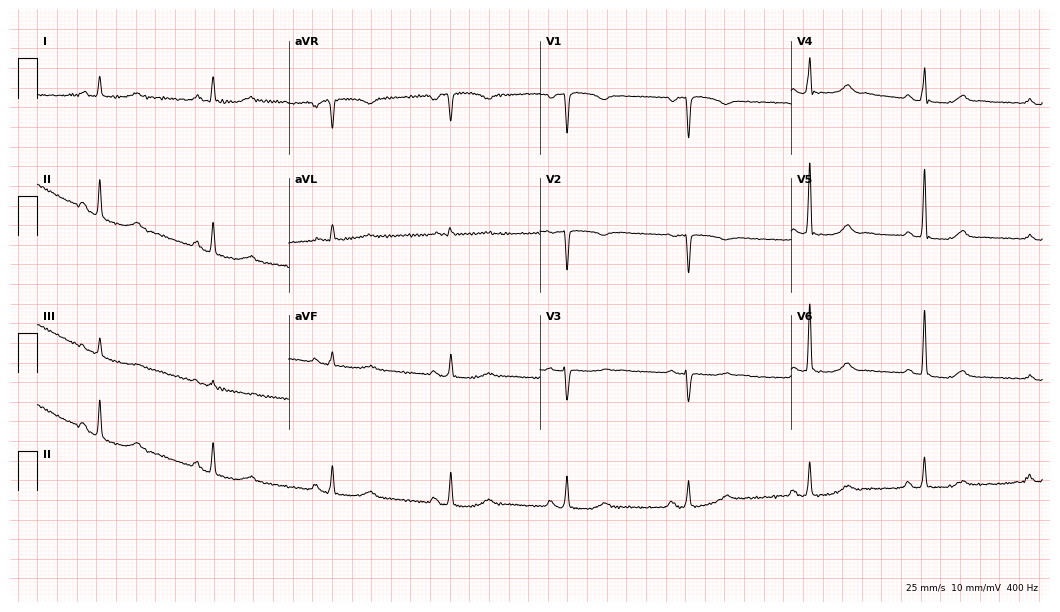
12-lead ECG (10.2-second recording at 400 Hz) from a 66-year-old female. Screened for six findings — first-degree AV block, right bundle branch block, left bundle branch block, sinus bradycardia, atrial fibrillation, sinus tachycardia — none is recorded.